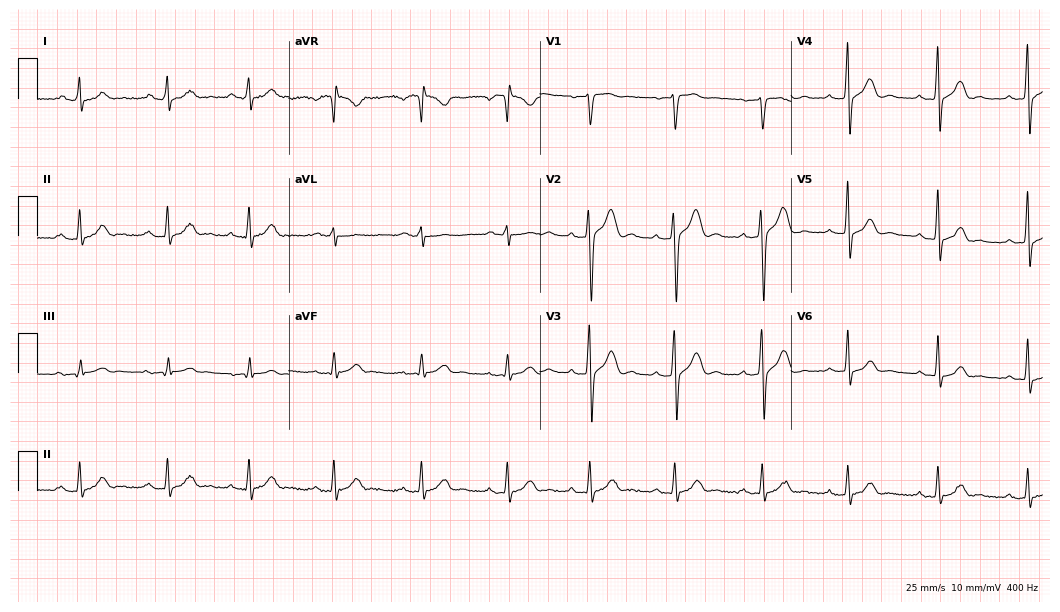
12-lead ECG (10.2-second recording at 400 Hz) from a man, 31 years old. Screened for six findings — first-degree AV block, right bundle branch block (RBBB), left bundle branch block (LBBB), sinus bradycardia, atrial fibrillation (AF), sinus tachycardia — none is recorded. Other findings, if any, are not listed.